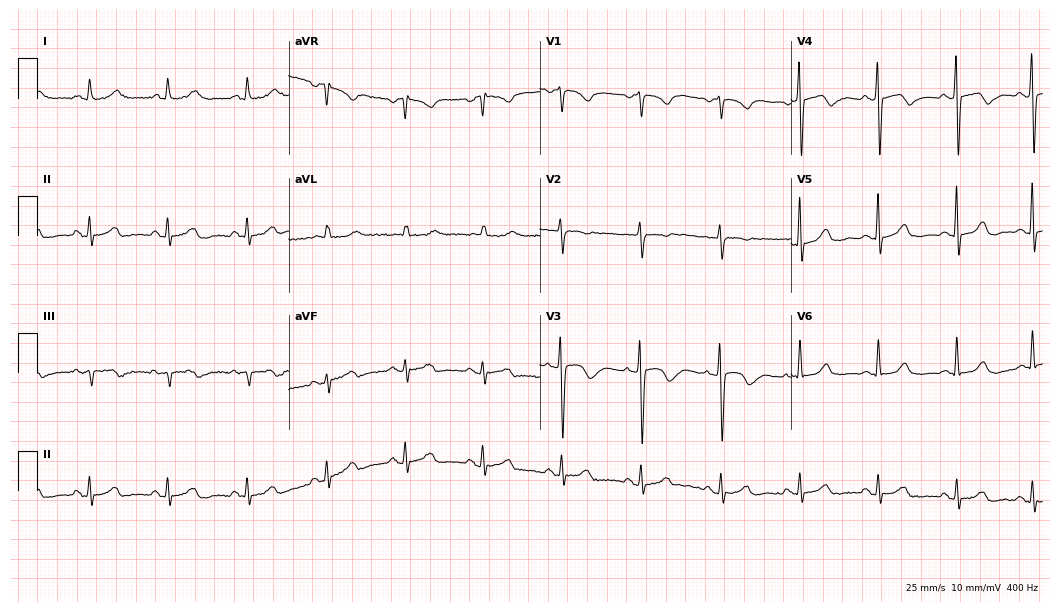
12-lead ECG from a 43-year-old woman (10.2-second recording at 400 Hz). No first-degree AV block, right bundle branch block, left bundle branch block, sinus bradycardia, atrial fibrillation or sinus tachycardia recorded for this tracing. Findings outside these six are not listed.